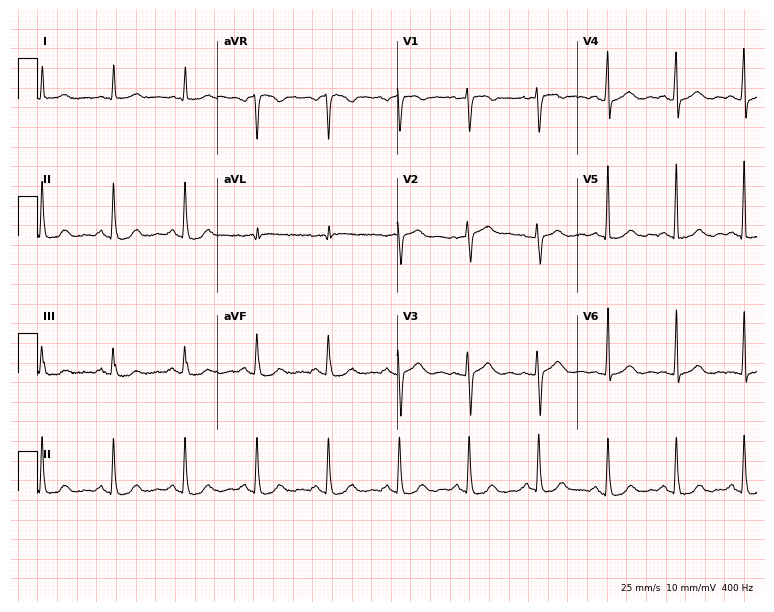
ECG (7.3-second recording at 400 Hz) — a 53-year-old female patient. Labelled as a normal ECG.